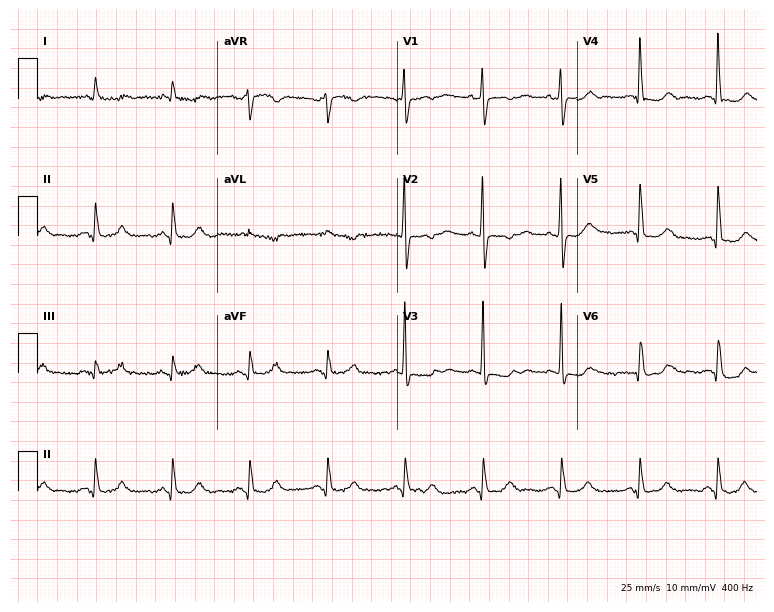
Standard 12-lead ECG recorded from a woman, 70 years old (7.3-second recording at 400 Hz). None of these six findings is recorded: first-degree AV block, right bundle branch block, left bundle branch block, sinus bradycardia, atrial fibrillation, sinus tachycardia.